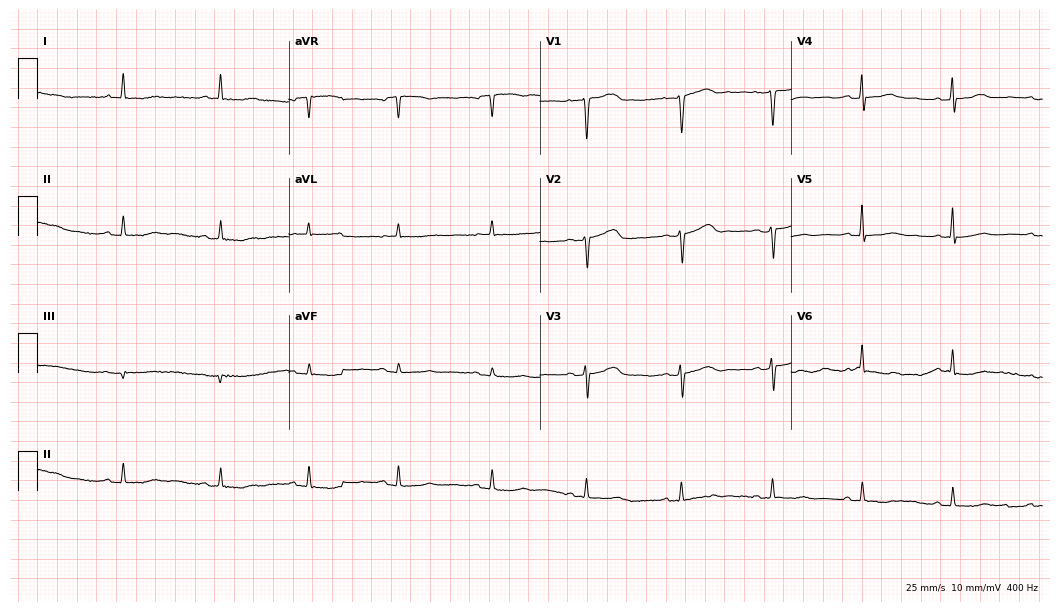
12-lead ECG (10.2-second recording at 400 Hz) from a 59-year-old female. Labelled as a normal ECG.